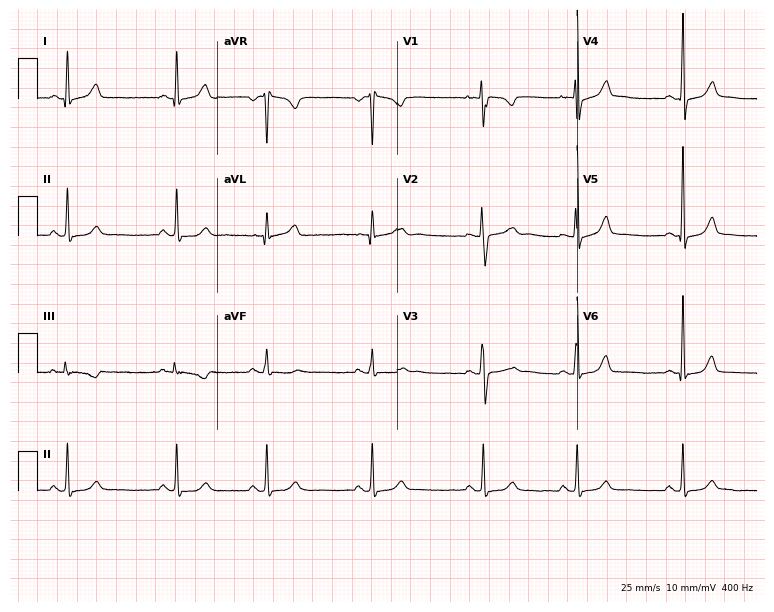
12-lead ECG from a 26-year-old woman. Recorded interpretation: within normal limits.